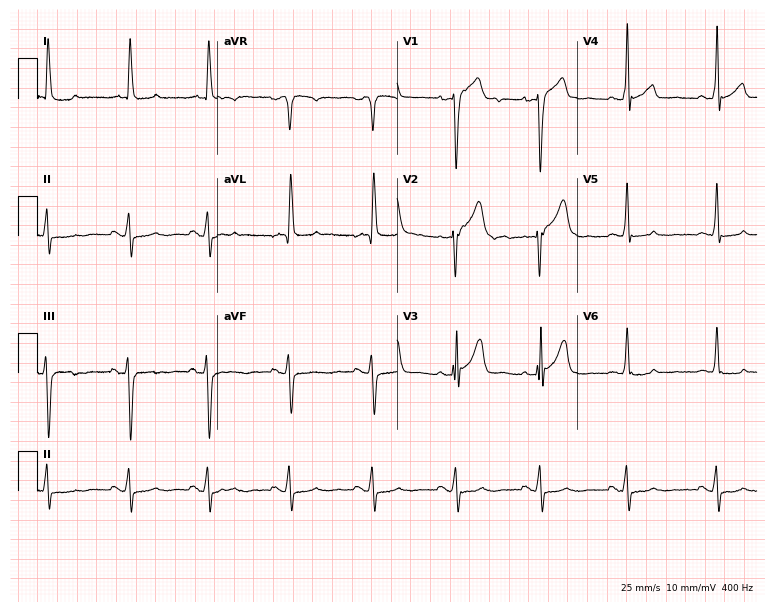
Resting 12-lead electrocardiogram (7.3-second recording at 400 Hz). Patient: a female, 72 years old. None of these six findings is recorded: first-degree AV block, right bundle branch block, left bundle branch block, sinus bradycardia, atrial fibrillation, sinus tachycardia.